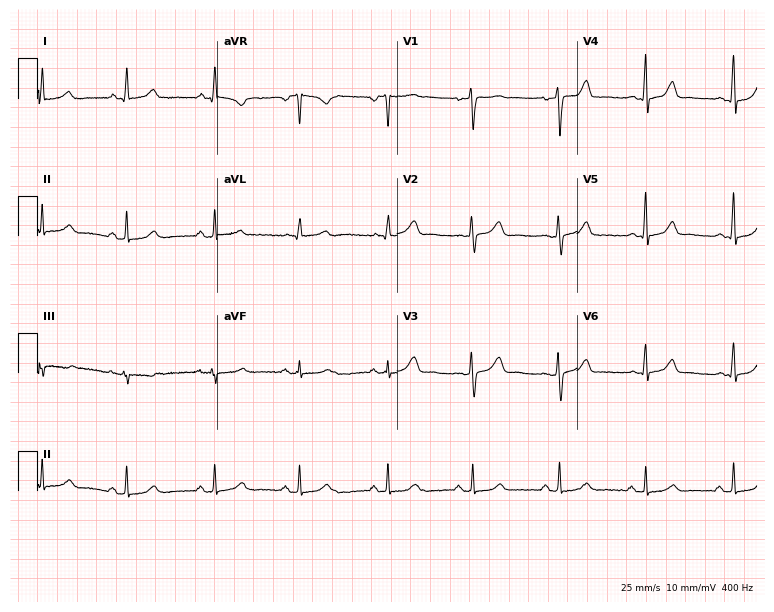
Electrocardiogram, a female, 41 years old. Overall reading on record: normal ECG.